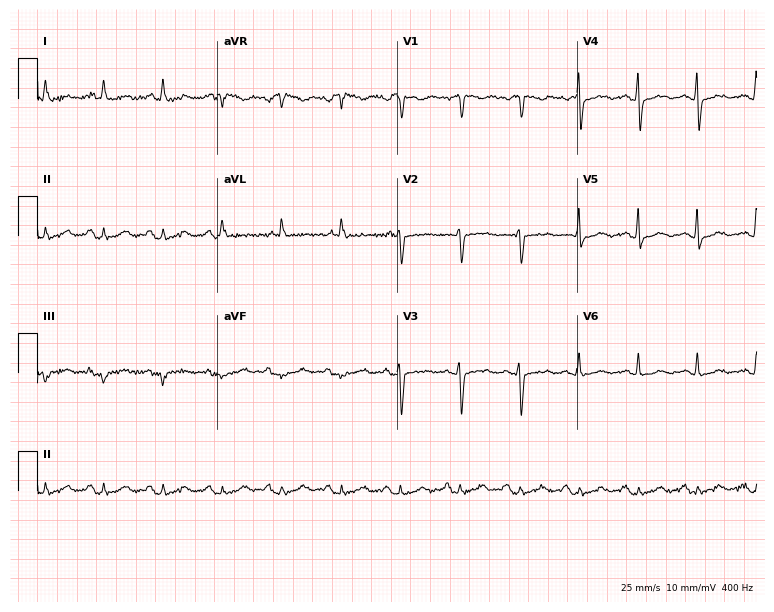
Resting 12-lead electrocardiogram. Patient: a 76-year-old female. None of these six findings is recorded: first-degree AV block, right bundle branch block, left bundle branch block, sinus bradycardia, atrial fibrillation, sinus tachycardia.